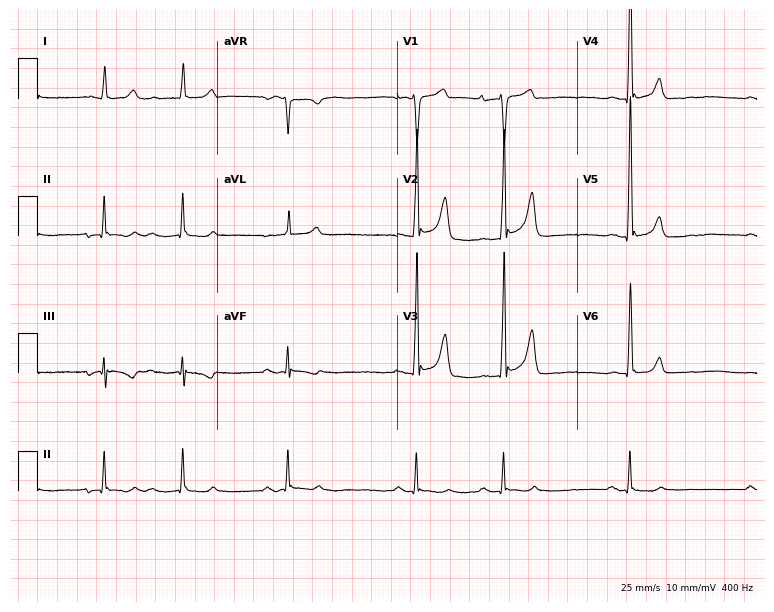
Electrocardiogram, a male patient, 67 years old. Of the six screened findings (first-degree AV block, right bundle branch block, left bundle branch block, sinus bradycardia, atrial fibrillation, sinus tachycardia), none is recorded. Findings outside these six are not listed.